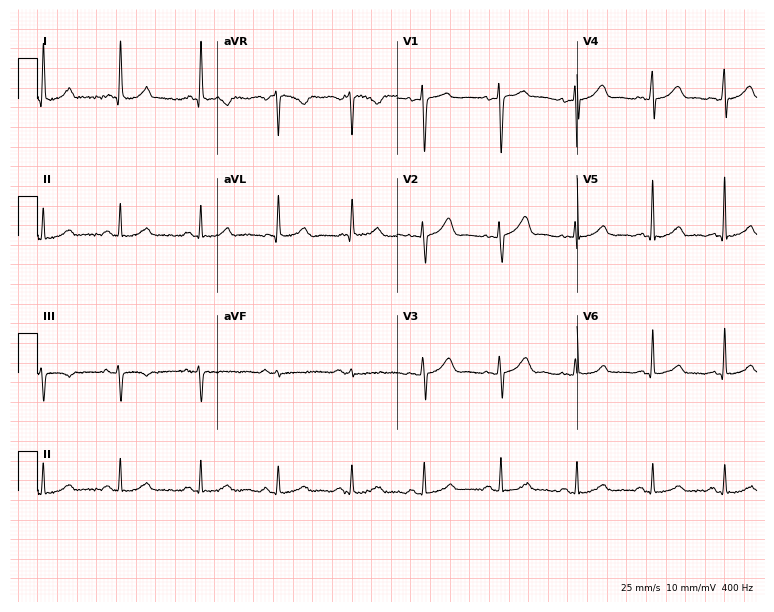
Electrocardiogram (7.3-second recording at 400 Hz), a 39-year-old woman. Overall reading on record: normal ECG.